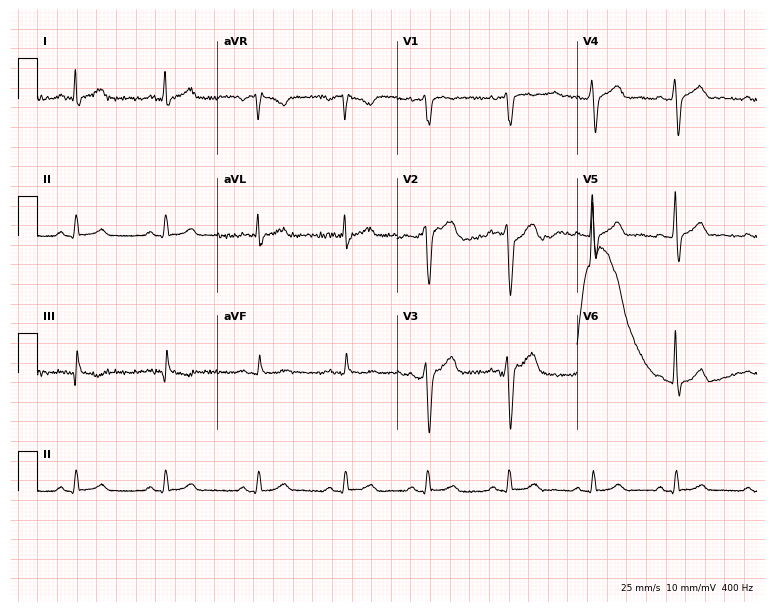
12-lead ECG (7.3-second recording at 400 Hz) from a 35-year-old man. Labelled as a normal ECG.